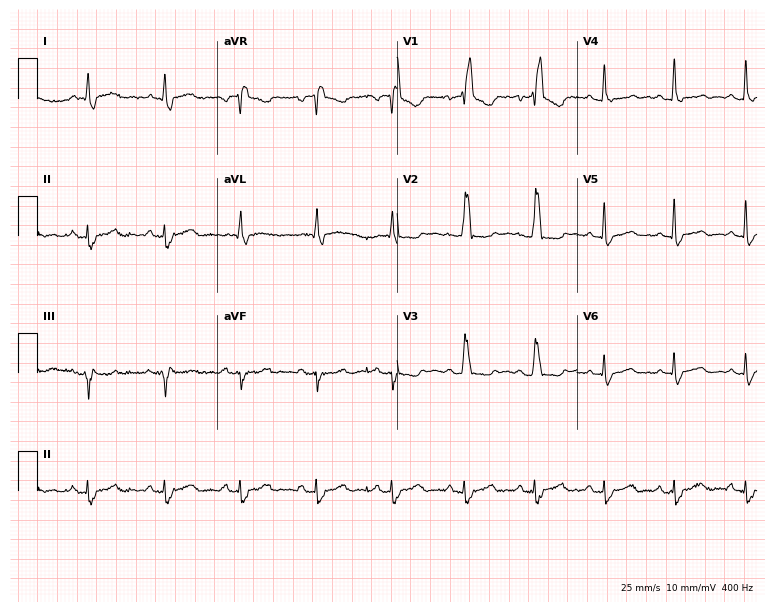
12-lead ECG (7.3-second recording at 400 Hz) from a male, 55 years old. Findings include right bundle branch block.